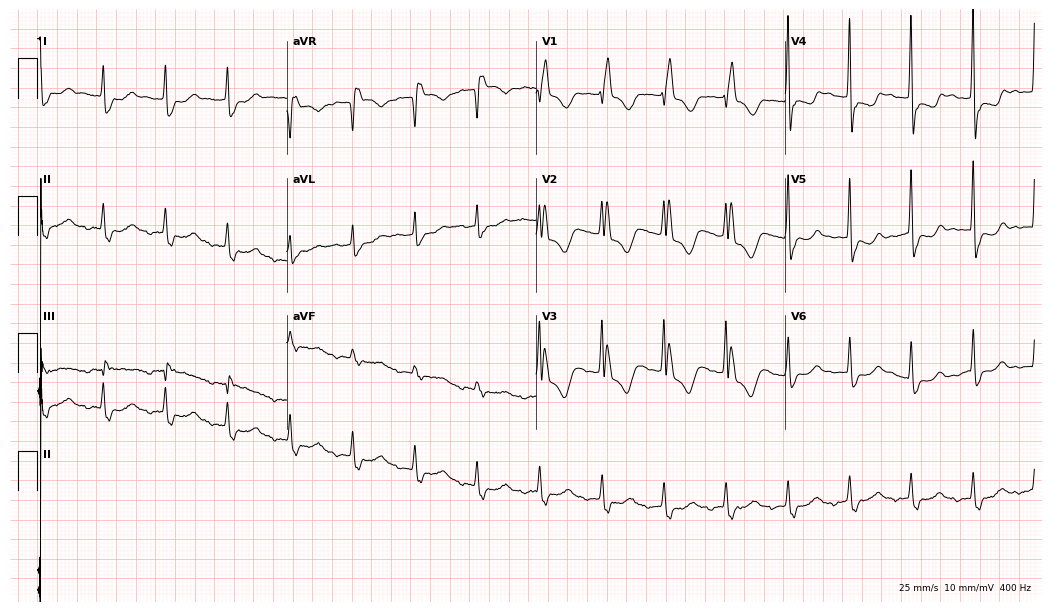
12-lead ECG from a female, 64 years old (10.2-second recording at 400 Hz). No first-degree AV block, right bundle branch block (RBBB), left bundle branch block (LBBB), sinus bradycardia, atrial fibrillation (AF) or sinus tachycardia recorded for this tracing. Findings outside these six are not listed.